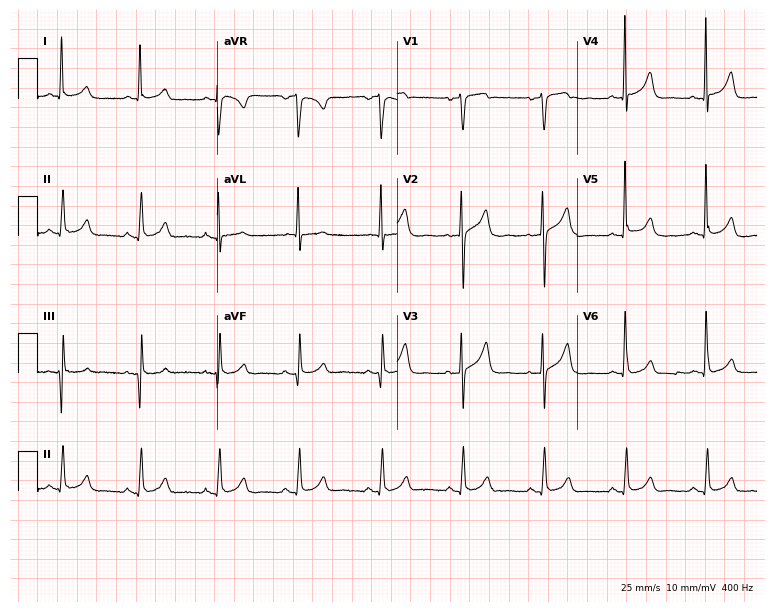
Resting 12-lead electrocardiogram (7.3-second recording at 400 Hz). Patient: a 54-year-old female. Read as a normal ECG.